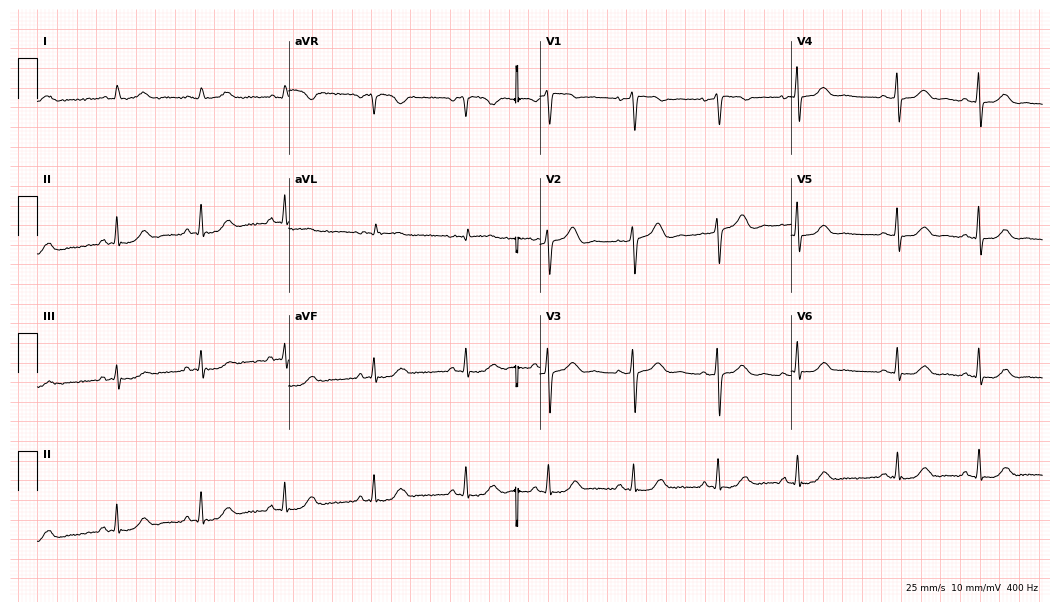
ECG (10.2-second recording at 400 Hz) — a female patient, 68 years old. Screened for six findings — first-degree AV block, right bundle branch block, left bundle branch block, sinus bradycardia, atrial fibrillation, sinus tachycardia — none is recorded. Findings outside these six are not listed.